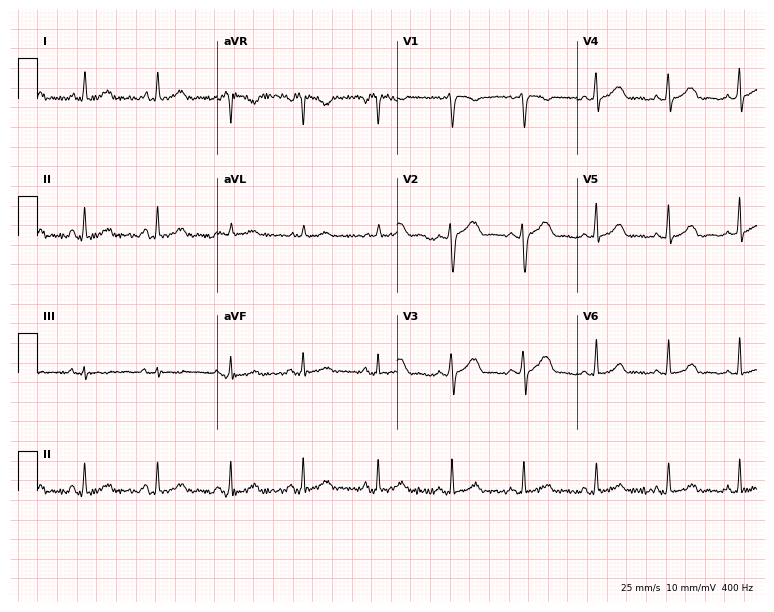
ECG — a female patient, 23 years old. Screened for six findings — first-degree AV block, right bundle branch block, left bundle branch block, sinus bradycardia, atrial fibrillation, sinus tachycardia — none is recorded.